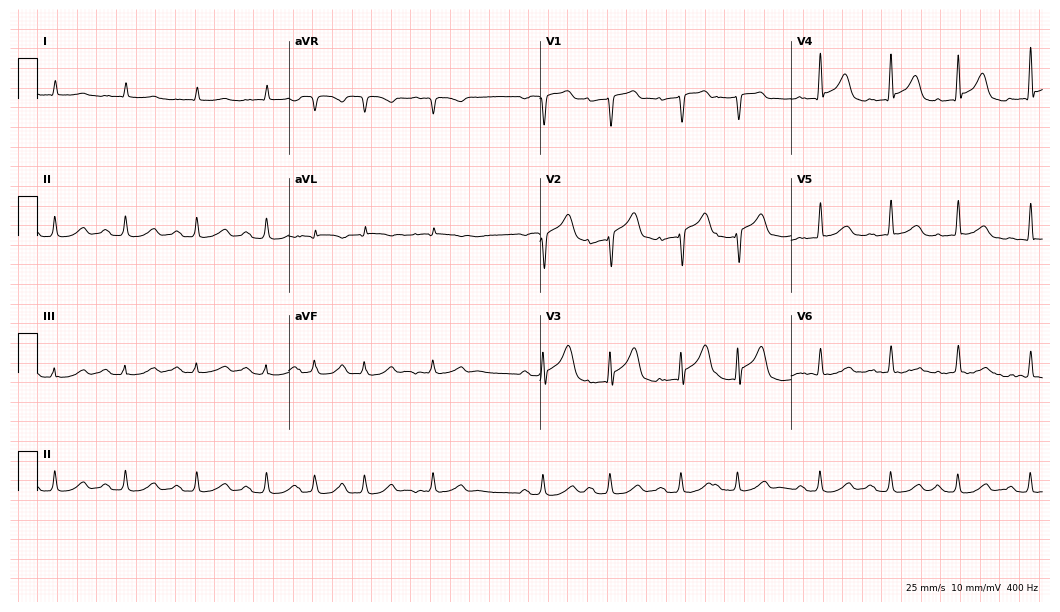
12-lead ECG from a male patient, 84 years old. Screened for six findings — first-degree AV block, right bundle branch block, left bundle branch block, sinus bradycardia, atrial fibrillation, sinus tachycardia — none is recorded. Other findings, if any, are not listed.